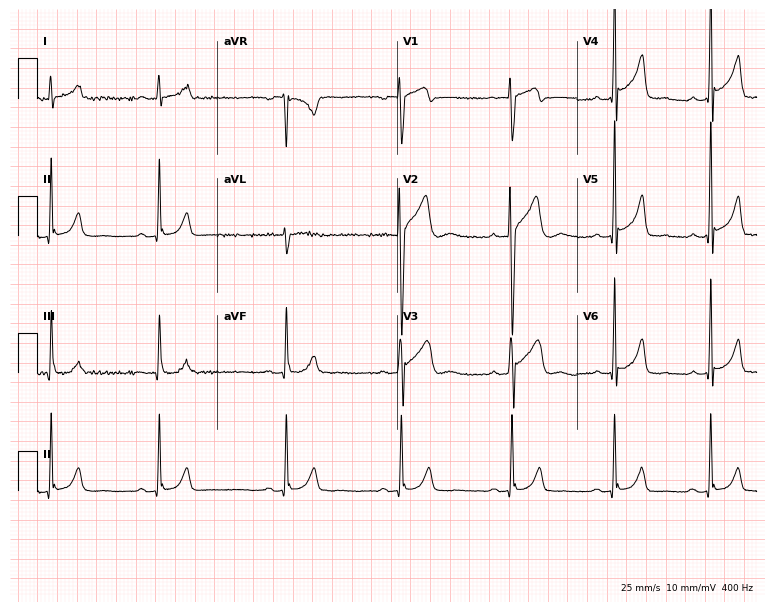
12-lead ECG (7.3-second recording at 400 Hz) from a male patient, 22 years old. Labelled as a normal ECG.